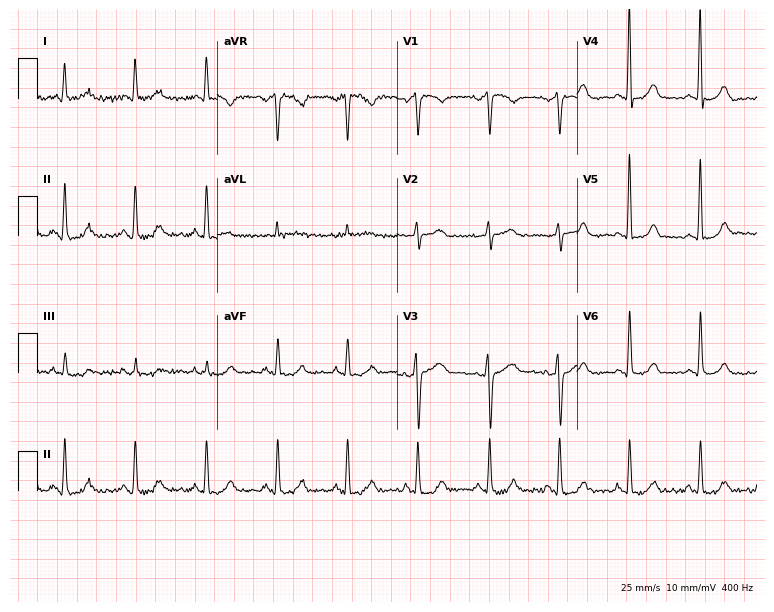
Electrocardiogram (7.3-second recording at 400 Hz), a 50-year-old female patient. Of the six screened findings (first-degree AV block, right bundle branch block (RBBB), left bundle branch block (LBBB), sinus bradycardia, atrial fibrillation (AF), sinus tachycardia), none is recorded.